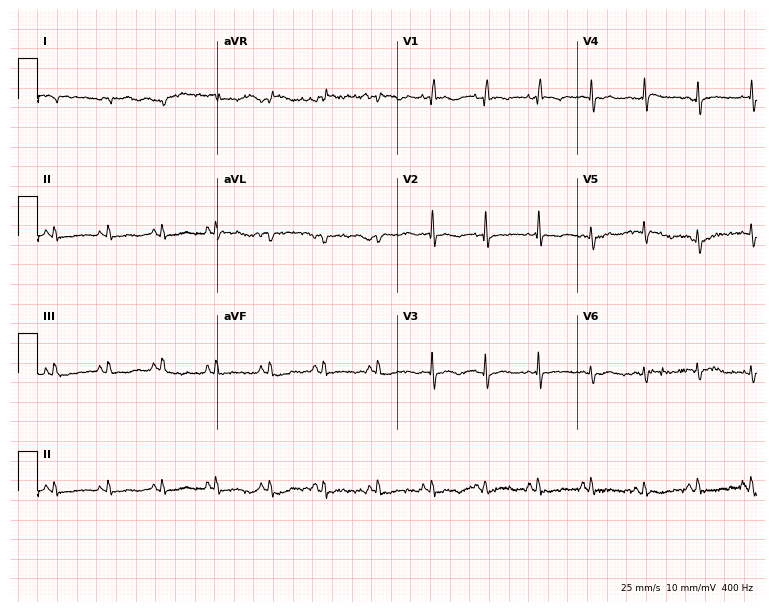
Resting 12-lead electrocardiogram. Patient: a male, 66 years old. The tracing shows sinus tachycardia (a sinus rate of 100 beats per minute or more).